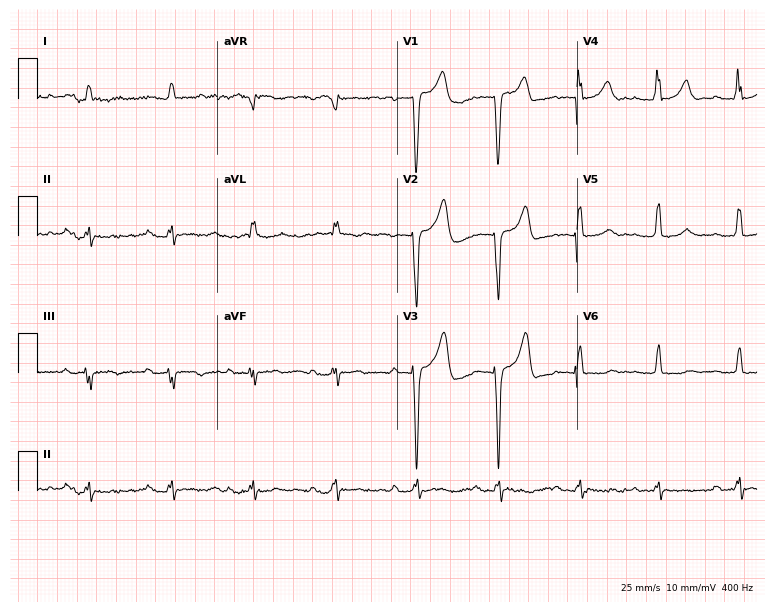
12-lead ECG from a male, 74 years old. Screened for six findings — first-degree AV block, right bundle branch block, left bundle branch block, sinus bradycardia, atrial fibrillation, sinus tachycardia — none is recorded.